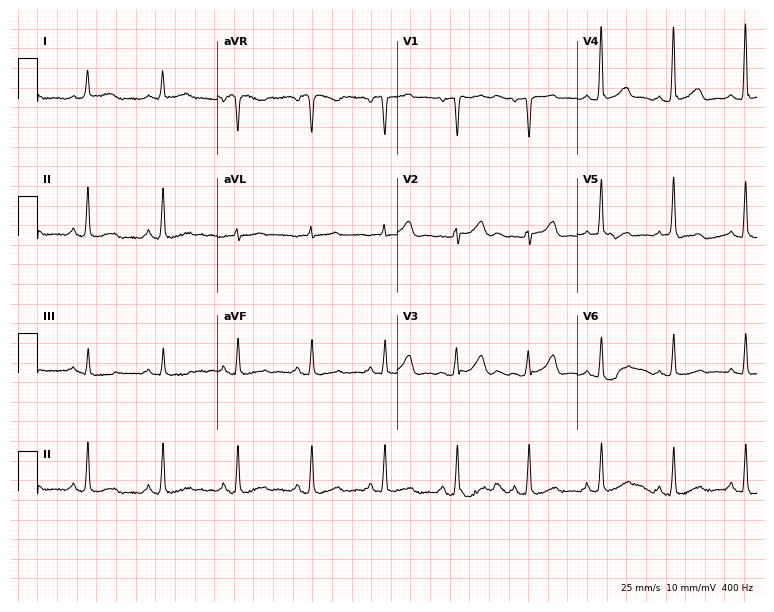
Resting 12-lead electrocardiogram. Patient: a woman, 67 years old. None of these six findings is recorded: first-degree AV block, right bundle branch block (RBBB), left bundle branch block (LBBB), sinus bradycardia, atrial fibrillation (AF), sinus tachycardia. Only these six findings were labelled.